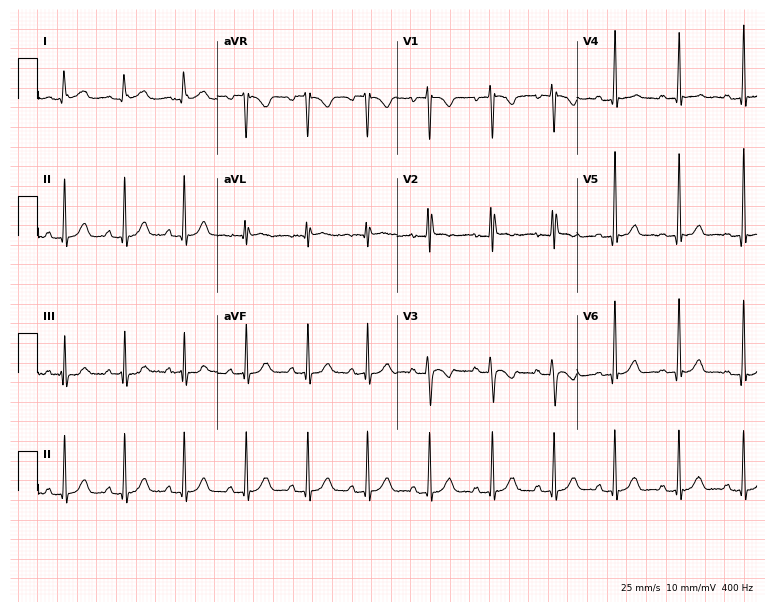
ECG (7.3-second recording at 400 Hz) — a woman, 27 years old. Labelled as a normal ECG.